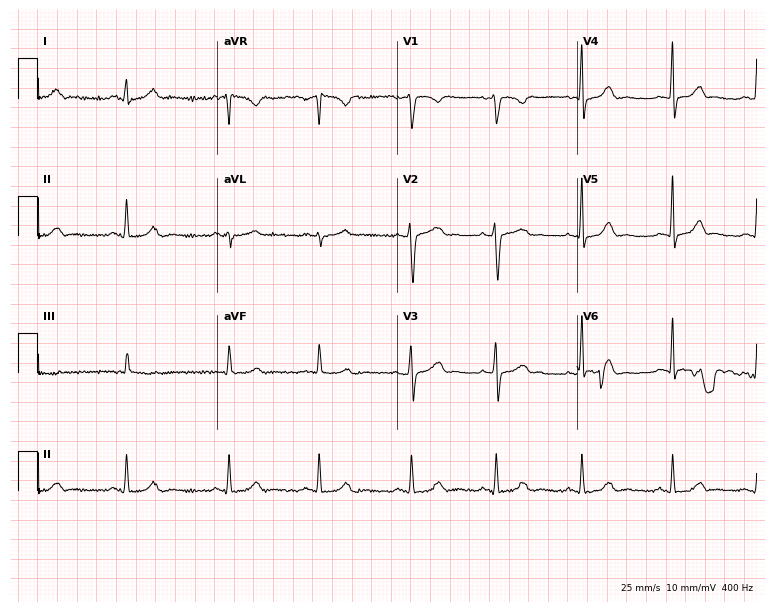
Standard 12-lead ECG recorded from a 33-year-old female patient. None of these six findings is recorded: first-degree AV block, right bundle branch block, left bundle branch block, sinus bradycardia, atrial fibrillation, sinus tachycardia.